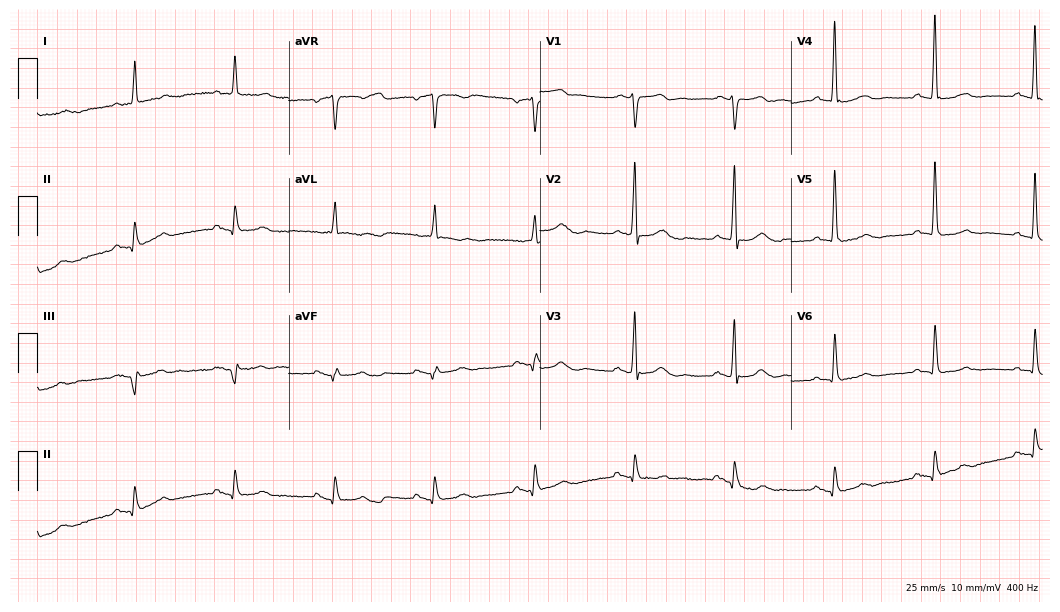
12-lead ECG from a man, 85 years old (10.2-second recording at 400 Hz). Recorded interpretation: within normal limits.